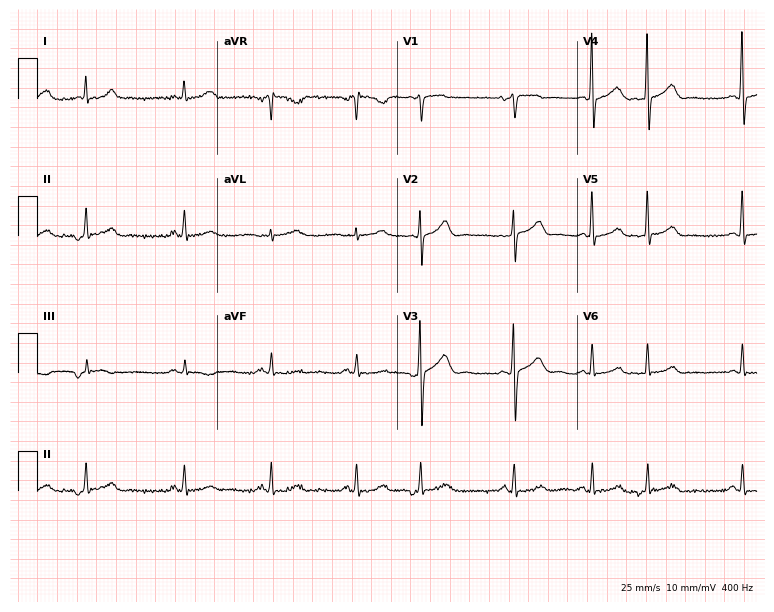
ECG (7.3-second recording at 400 Hz) — a 66-year-old man. Screened for six findings — first-degree AV block, right bundle branch block (RBBB), left bundle branch block (LBBB), sinus bradycardia, atrial fibrillation (AF), sinus tachycardia — none is recorded. Only these six findings were labelled.